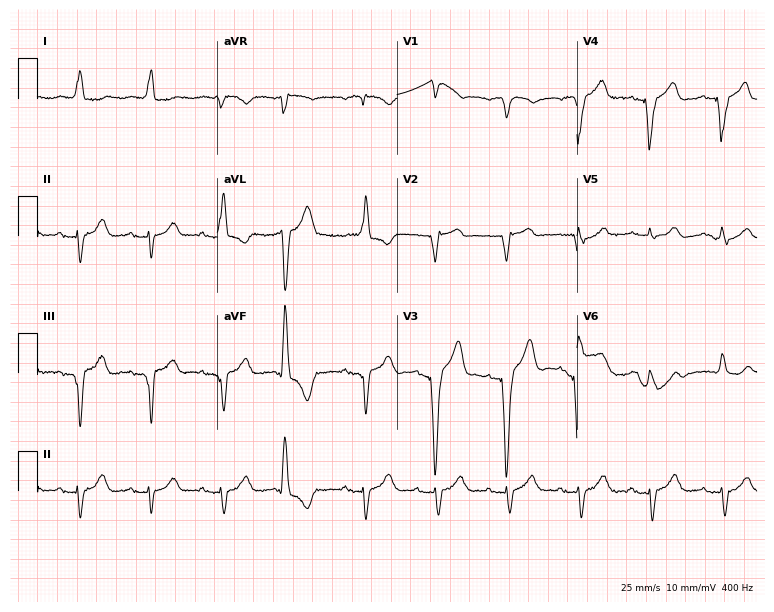
12-lead ECG from a male, 85 years old (7.3-second recording at 400 Hz). Shows left bundle branch block.